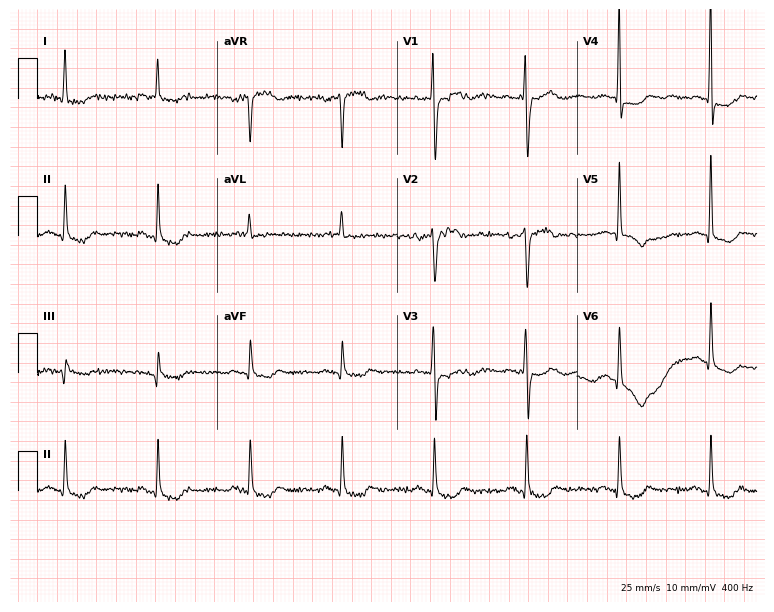
12-lead ECG from an 82-year-old man (7.3-second recording at 400 Hz). No first-degree AV block, right bundle branch block (RBBB), left bundle branch block (LBBB), sinus bradycardia, atrial fibrillation (AF) or sinus tachycardia recorded for this tracing.